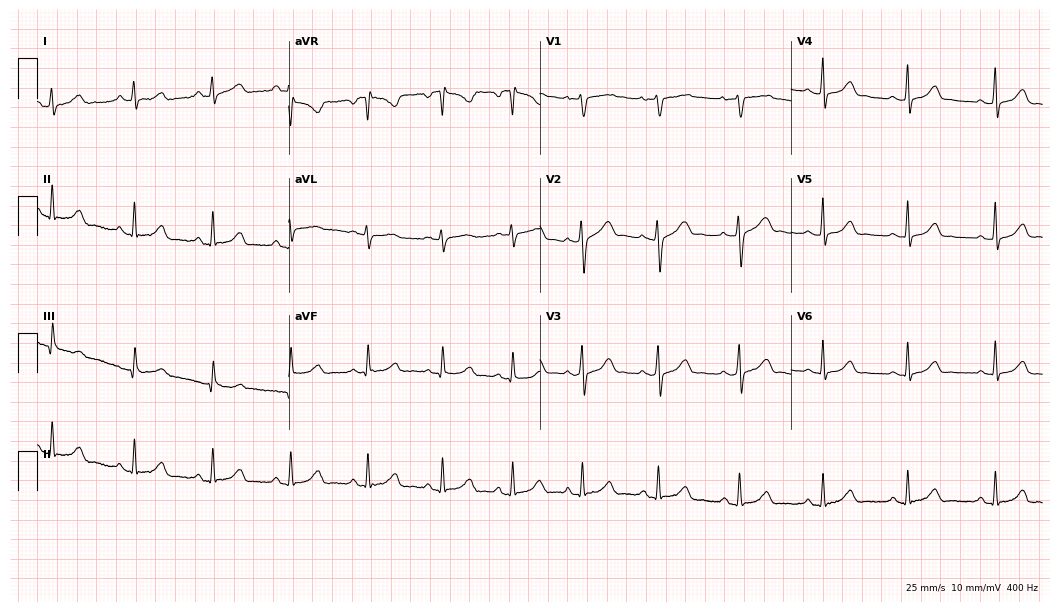
12-lead ECG from a 33-year-old female. Recorded interpretation: within normal limits.